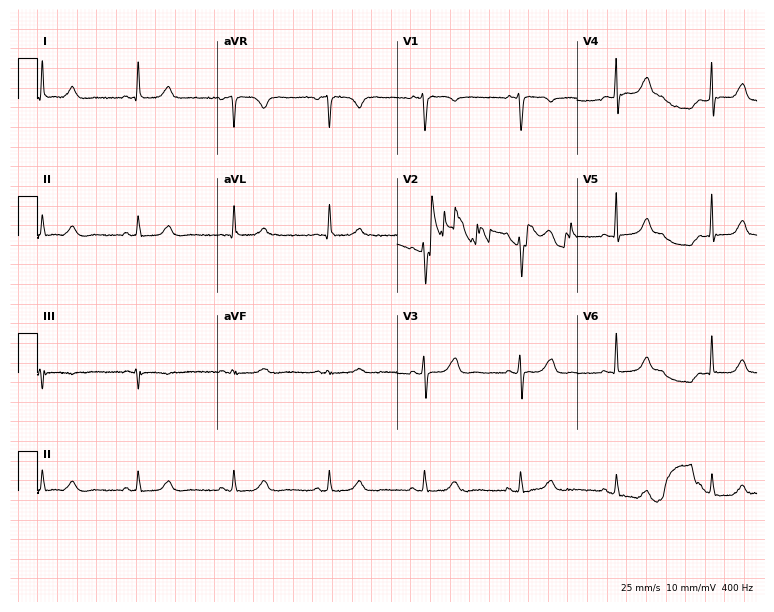
Standard 12-lead ECG recorded from a female, 56 years old. Read as a normal ECG.